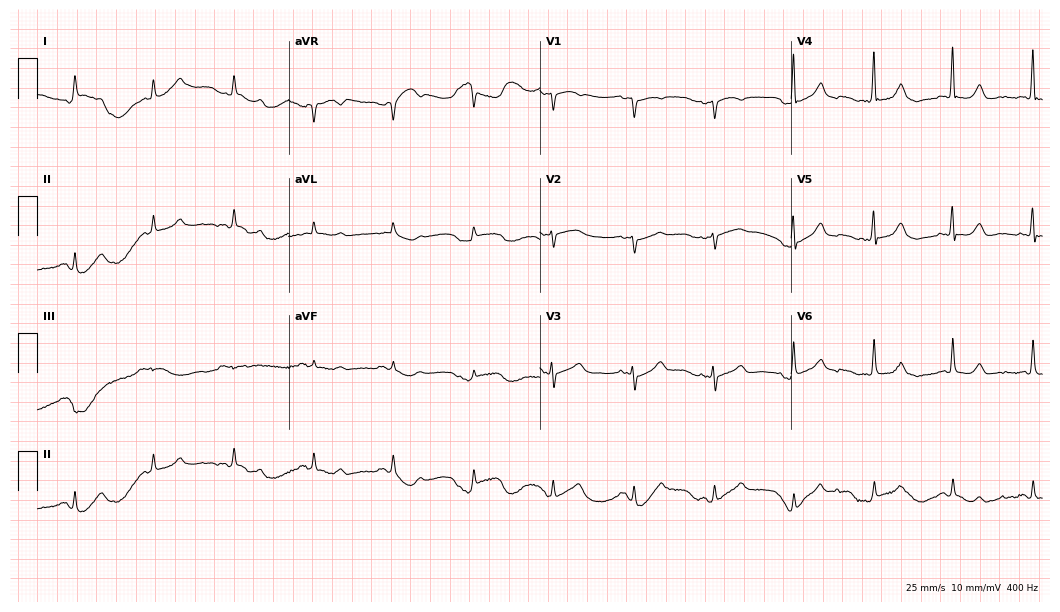
Electrocardiogram (10.2-second recording at 400 Hz), a woman, 66 years old. Of the six screened findings (first-degree AV block, right bundle branch block, left bundle branch block, sinus bradycardia, atrial fibrillation, sinus tachycardia), none is recorded.